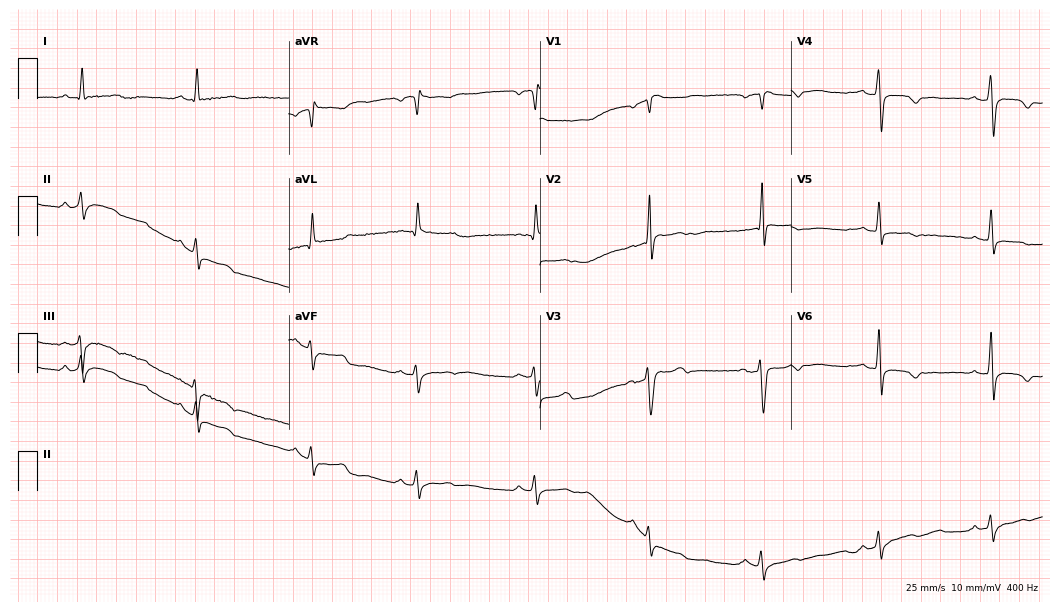
Resting 12-lead electrocardiogram. Patient: a male, 46 years old. None of these six findings is recorded: first-degree AV block, right bundle branch block, left bundle branch block, sinus bradycardia, atrial fibrillation, sinus tachycardia.